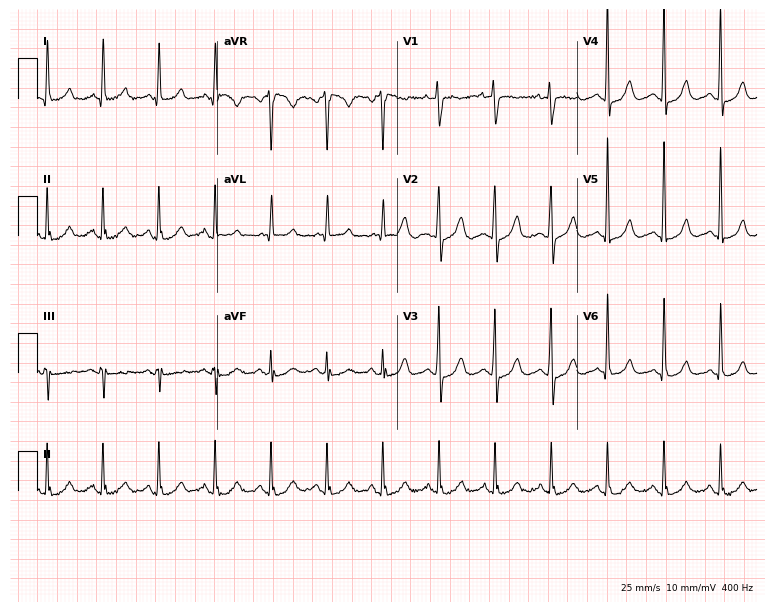
ECG (7.3-second recording at 400 Hz) — a woman, 64 years old. Findings include sinus tachycardia (a sinus rate of 100 beats per minute or more).